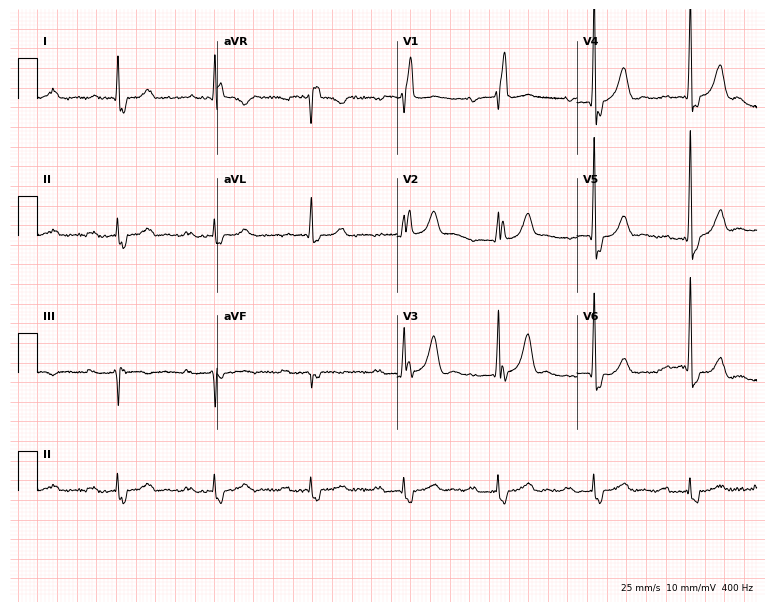
ECG (7.3-second recording at 400 Hz) — an 85-year-old male. Findings include right bundle branch block.